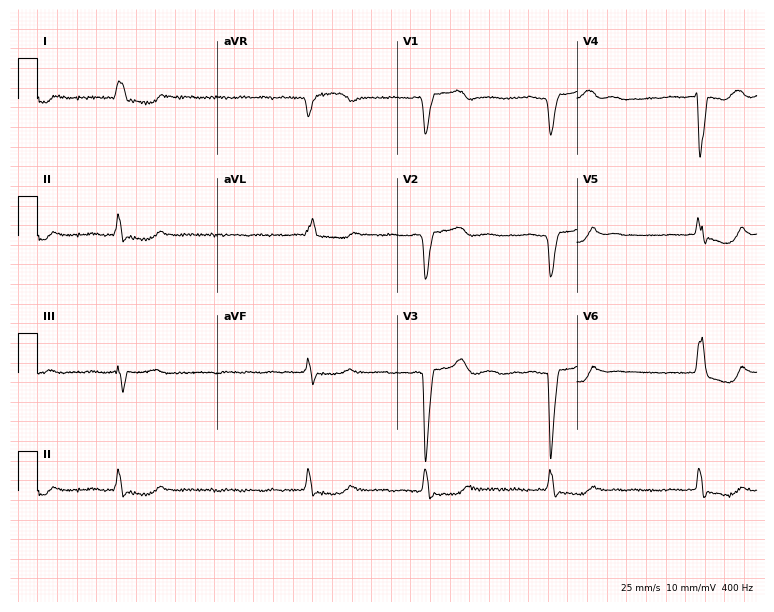
12-lead ECG from a 76-year-old female (7.3-second recording at 400 Hz). Shows left bundle branch block, atrial fibrillation.